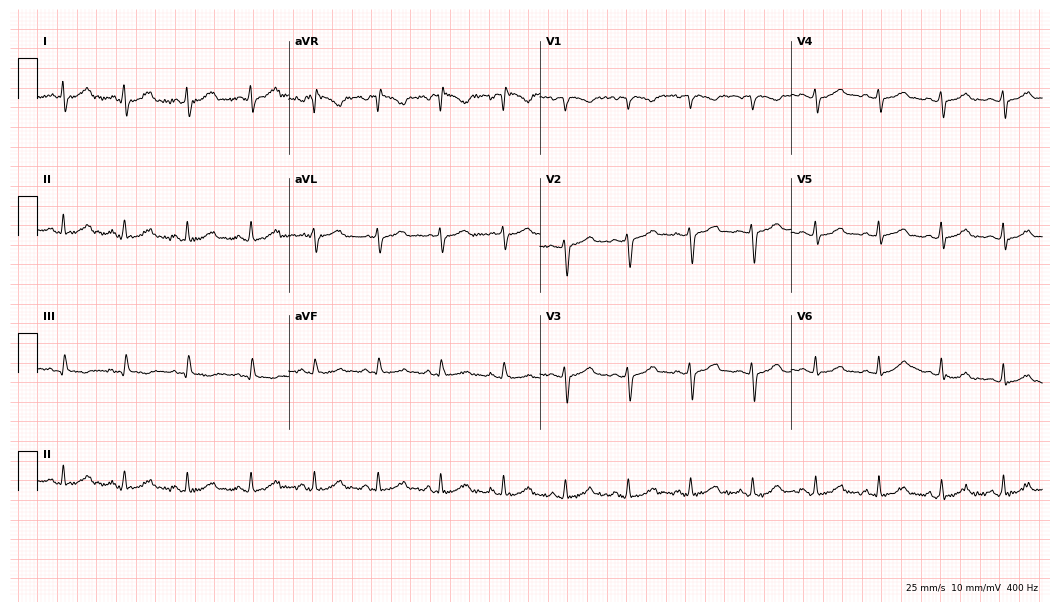
Electrocardiogram (10.2-second recording at 400 Hz), a 36-year-old female. Overall reading on record: normal ECG.